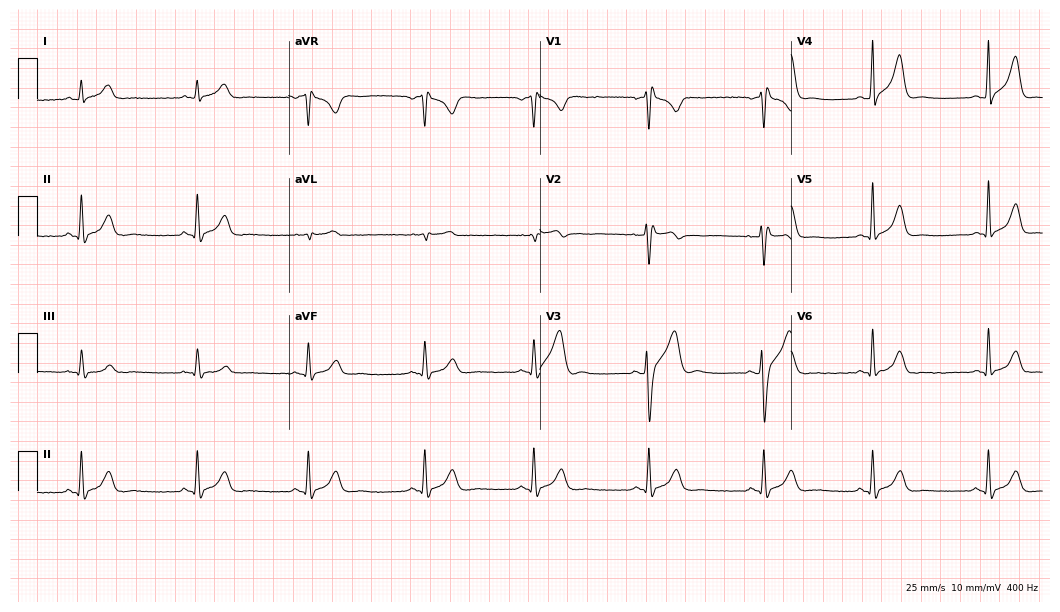
Resting 12-lead electrocardiogram. Patient: a man, 39 years old. None of these six findings is recorded: first-degree AV block, right bundle branch block, left bundle branch block, sinus bradycardia, atrial fibrillation, sinus tachycardia.